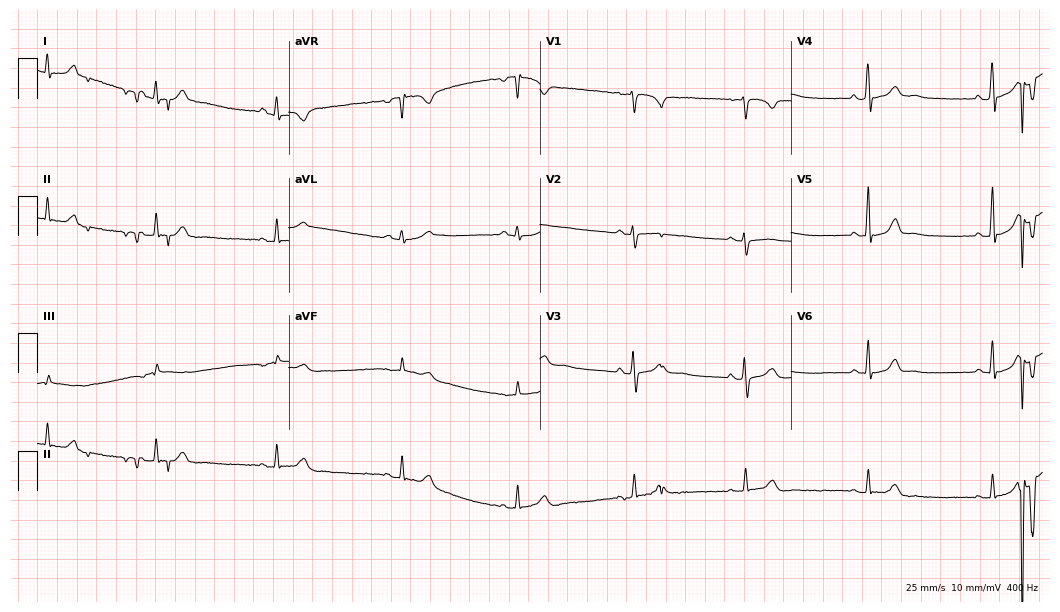
Electrocardiogram, a woman, 41 years old. Of the six screened findings (first-degree AV block, right bundle branch block, left bundle branch block, sinus bradycardia, atrial fibrillation, sinus tachycardia), none is recorded. Other findings, if any, are not listed.